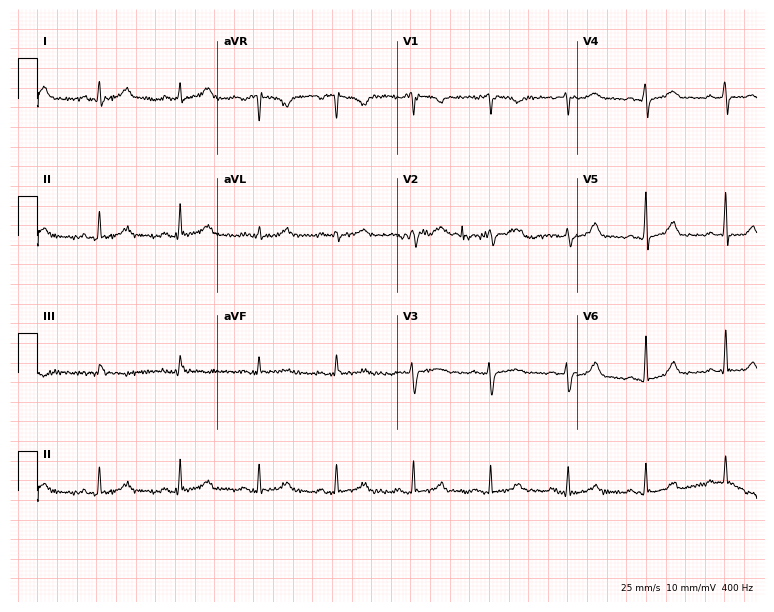
ECG (7.3-second recording at 400 Hz) — a woman, 56 years old. Labelled as a normal ECG.